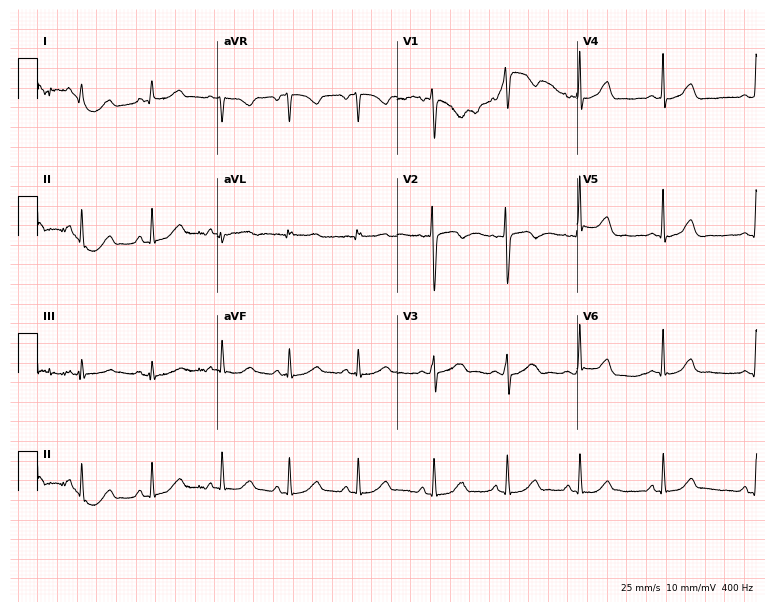
12-lead ECG from a woman, 19 years old. Screened for six findings — first-degree AV block, right bundle branch block, left bundle branch block, sinus bradycardia, atrial fibrillation, sinus tachycardia — none is recorded.